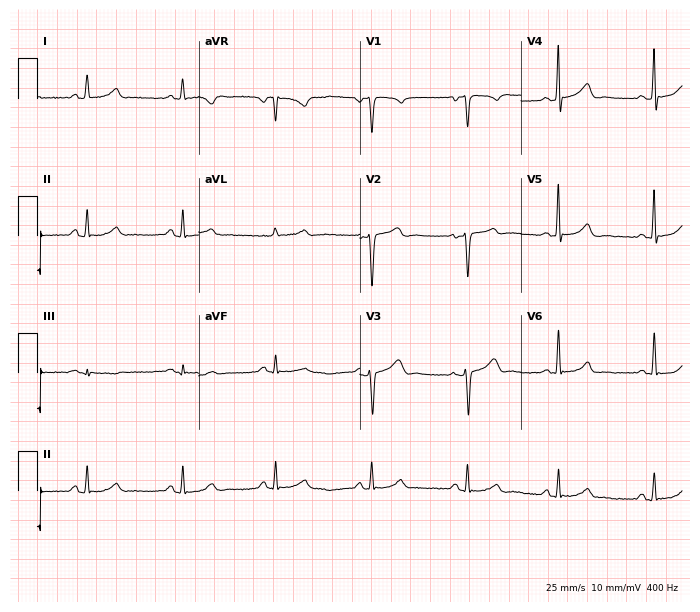
12-lead ECG from a female, 43 years old. Screened for six findings — first-degree AV block, right bundle branch block, left bundle branch block, sinus bradycardia, atrial fibrillation, sinus tachycardia — none is recorded.